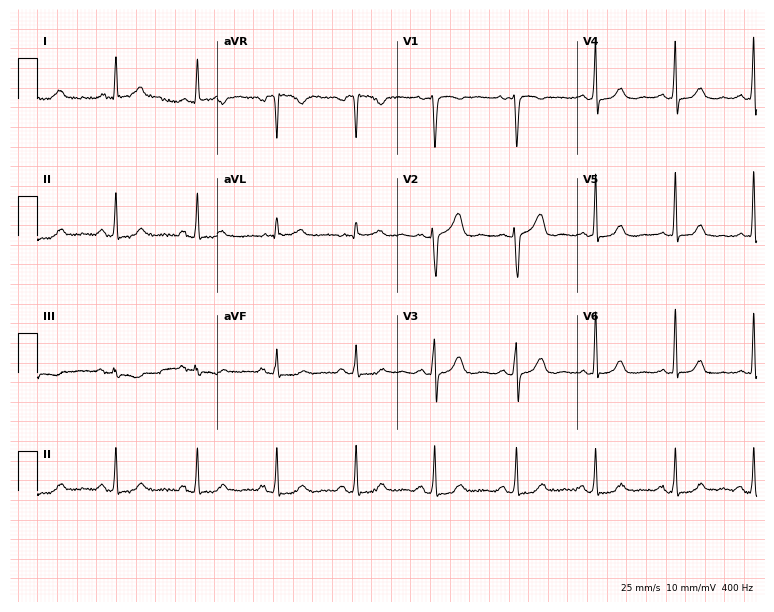
Standard 12-lead ECG recorded from a 56-year-old female (7.3-second recording at 400 Hz). None of these six findings is recorded: first-degree AV block, right bundle branch block, left bundle branch block, sinus bradycardia, atrial fibrillation, sinus tachycardia.